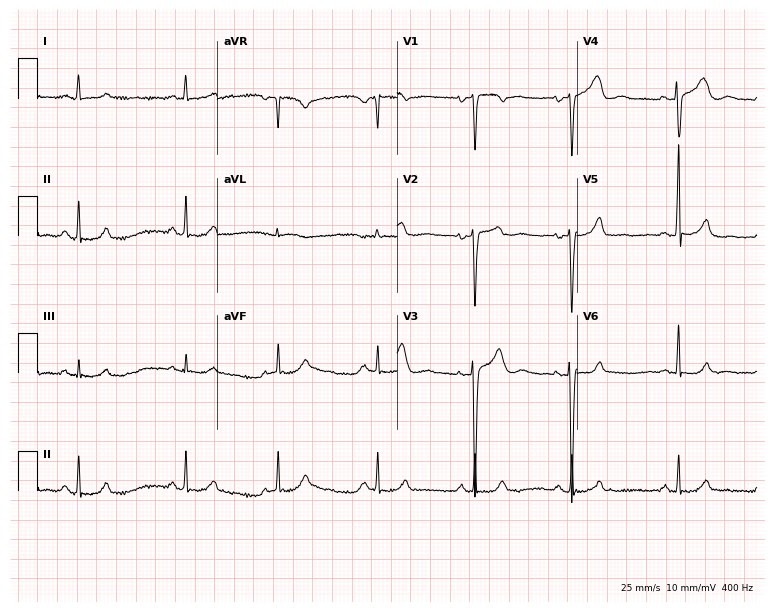
12-lead ECG from a 40-year-old female (7.3-second recording at 400 Hz). Recorded interpretation: within normal limits.